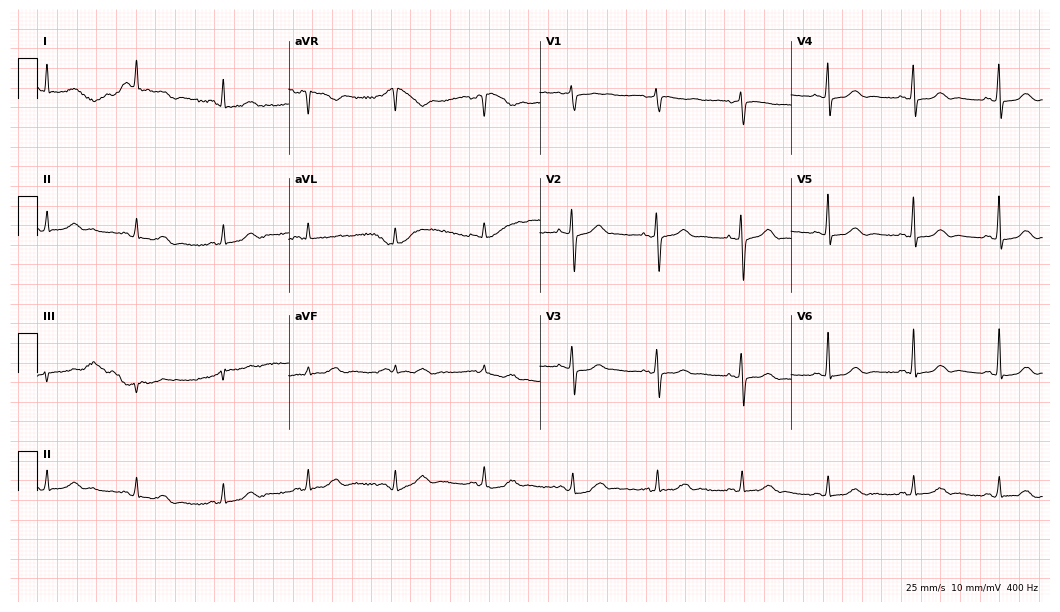
12-lead ECG from a 63-year-old woman (10.2-second recording at 400 Hz). Recorded interpretation: within normal limits.